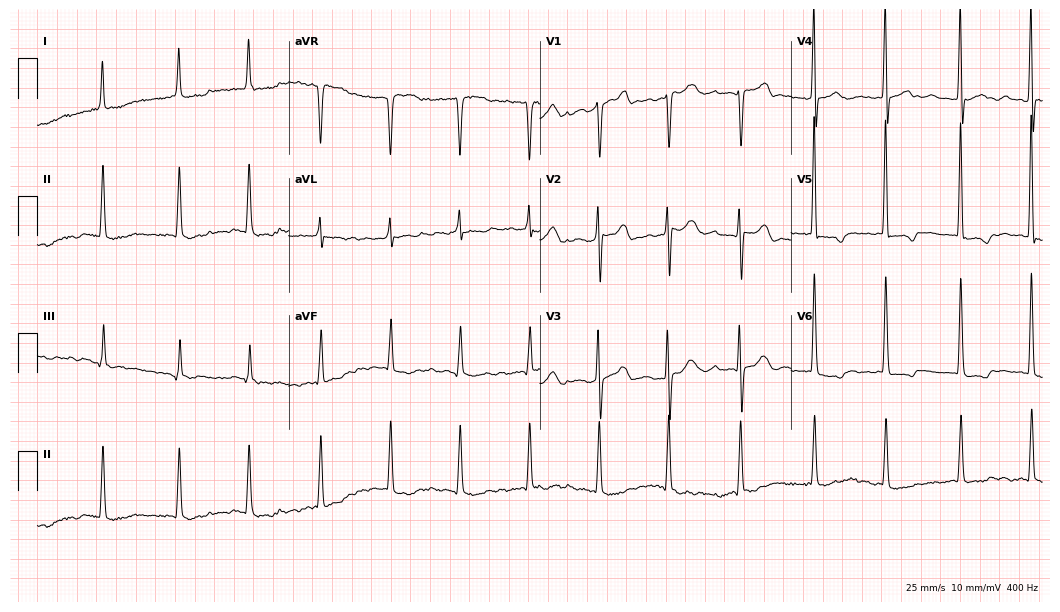
Resting 12-lead electrocardiogram (10.2-second recording at 400 Hz). Patient: a female, 74 years old. The tracing shows atrial fibrillation (AF).